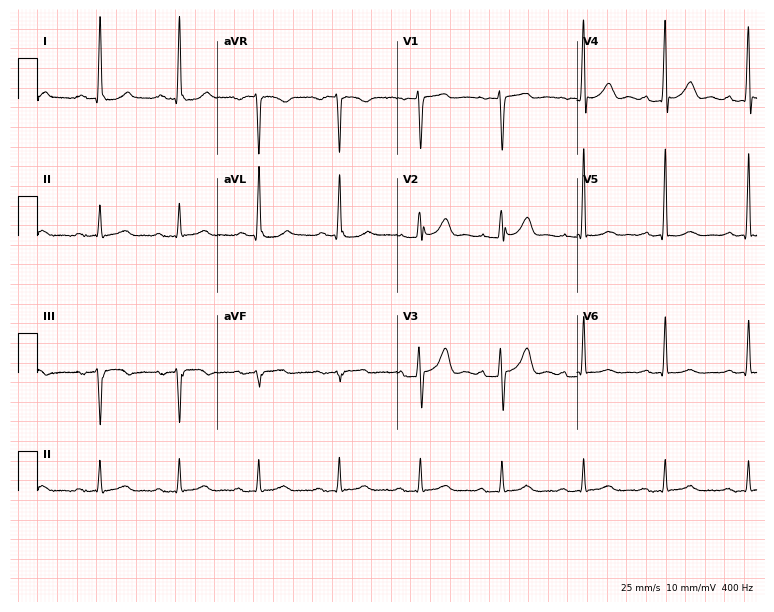
Resting 12-lead electrocardiogram. Patient: a 73-year-old man. The tracing shows first-degree AV block.